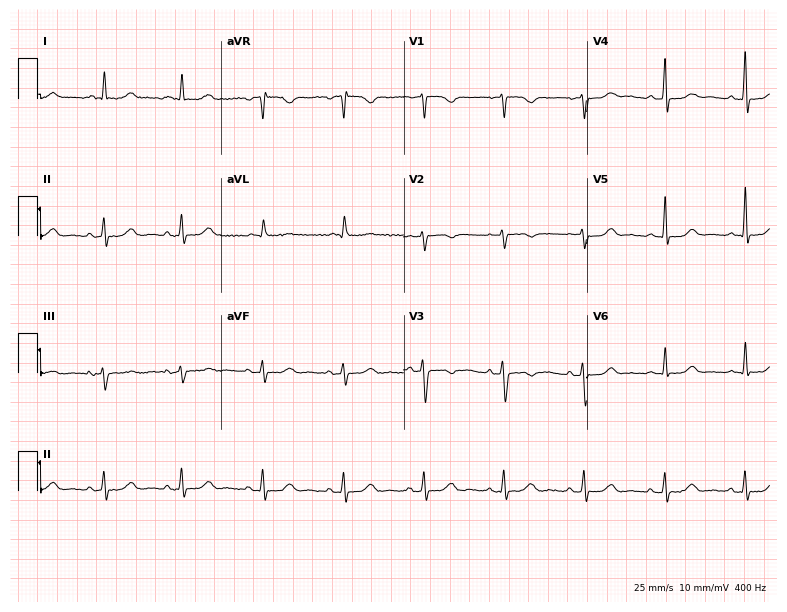
Standard 12-lead ECG recorded from a woman, 69 years old. None of these six findings is recorded: first-degree AV block, right bundle branch block (RBBB), left bundle branch block (LBBB), sinus bradycardia, atrial fibrillation (AF), sinus tachycardia. Other findings, if any, are not listed.